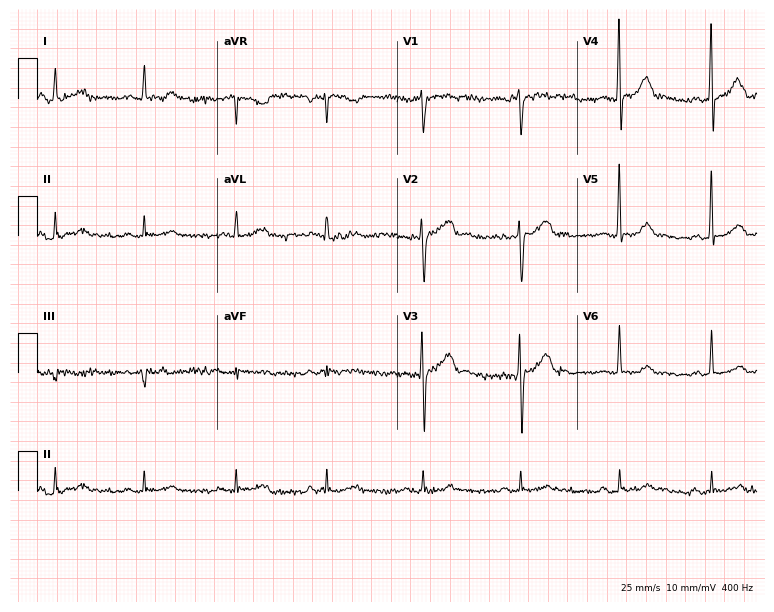
Electrocardiogram (7.3-second recording at 400 Hz), a 66-year-old man. Of the six screened findings (first-degree AV block, right bundle branch block, left bundle branch block, sinus bradycardia, atrial fibrillation, sinus tachycardia), none is recorded.